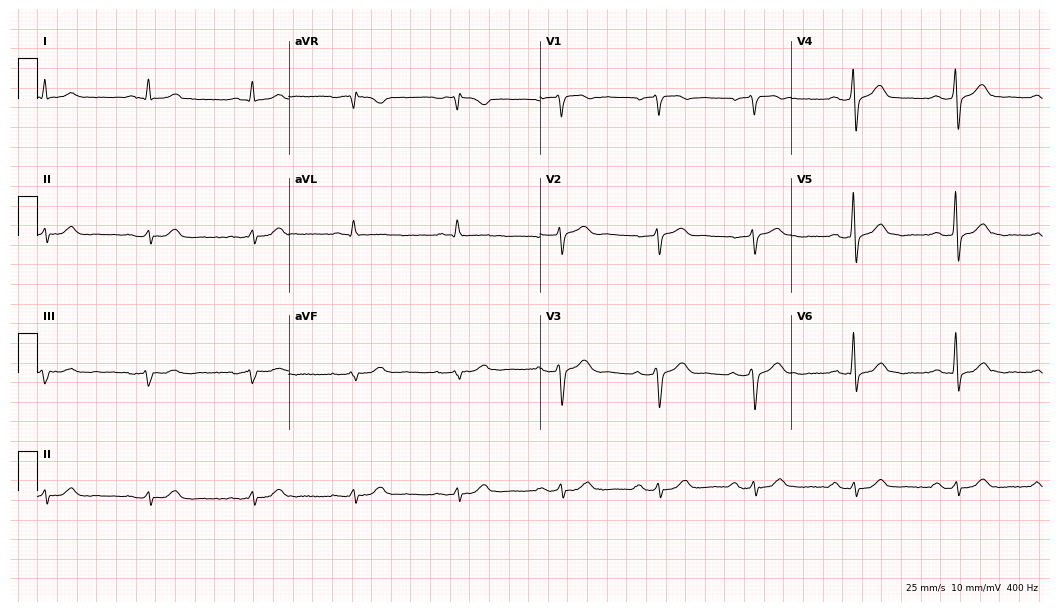
Electrocardiogram, a 62-year-old man. Of the six screened findings (first-degree AV block, right bundle branch block, left bundle branch block, sinus bradycardia, atrial fibrillation, sinus tachycardia), none is recorded.